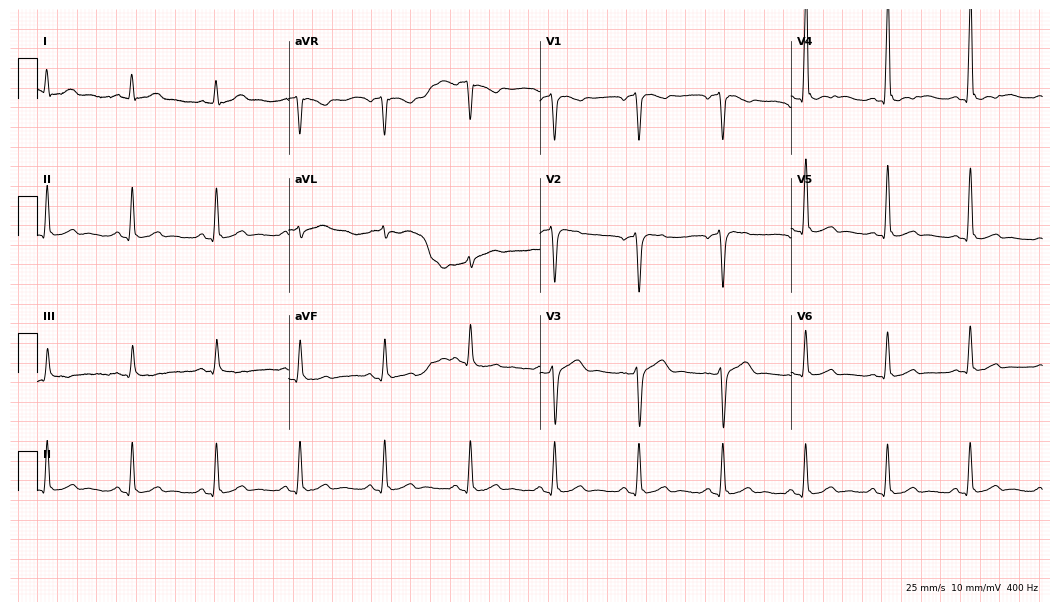
ECG (10.2-second recording at 400 Hz) — a male patient, 46 years old. Screened for six findings — first-degree AV block, right bundle branch block, left bundle branch block, sinus bradycardia, atrial fibrillation, sinus tachycardia — none is recorded.